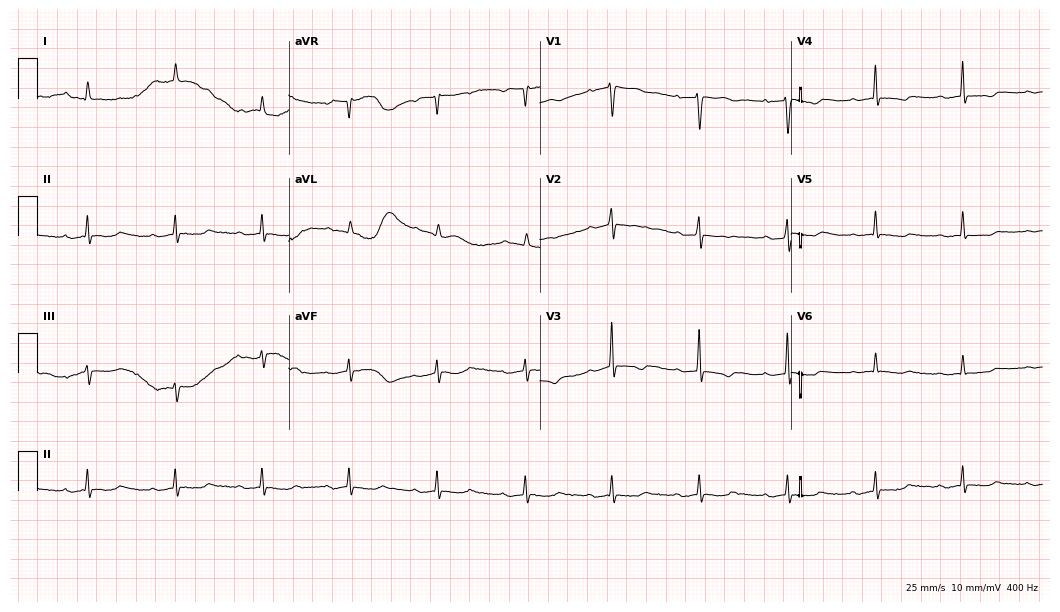
12-lead ECG from a female patient, 56 years old. No first-degree AV block, right bundle branch block, left bundle branch block, sinus bradycardia, atrial fibrillation or sinus tachycardia recorded for this tracing.